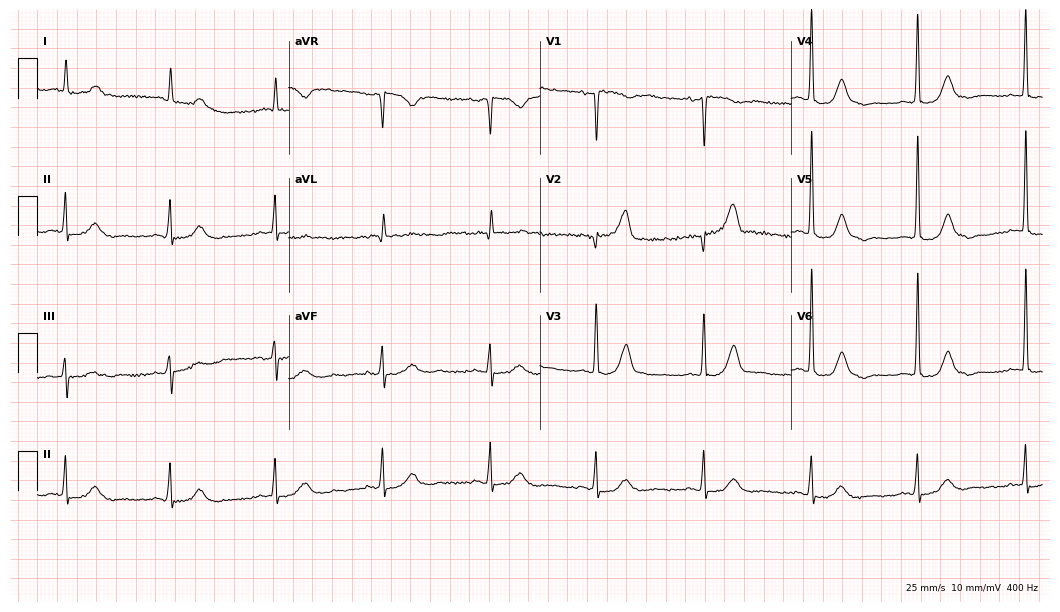
12-lead ECG from an 85-year-old female patient (10.2-second recording at 400 Hz). Recorded interpretation: within normal limits.